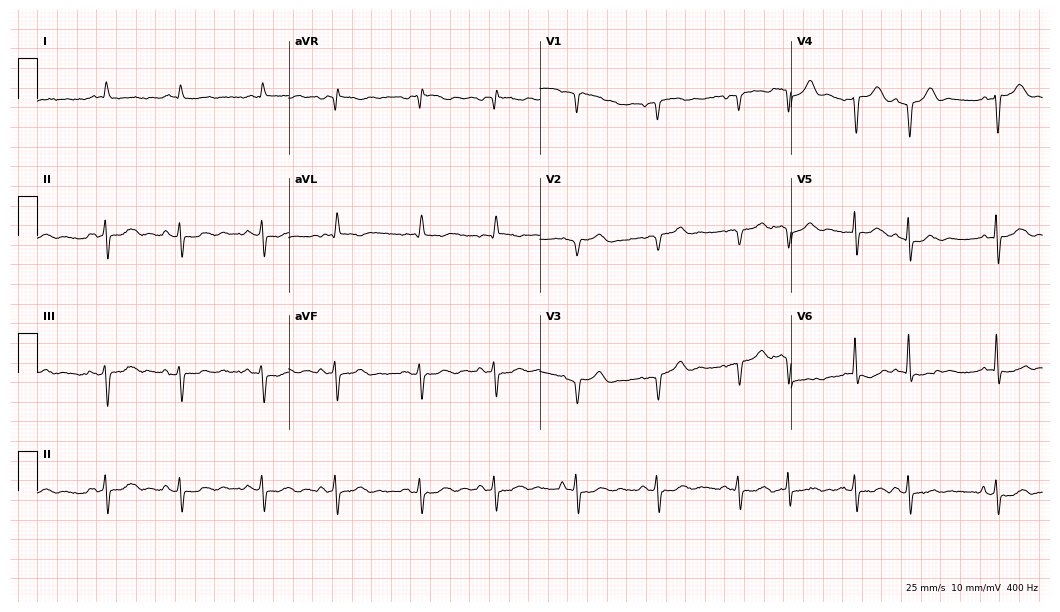
Electrocardiogram, a man, 84 years old. Of the six screened findings (first-degree AV block, right bundle branch block, left bundle branch block, sinus bradycardia, atrial fibrillation, sinus tachycardia), none is recorded. Other findings, if any, are not listed.